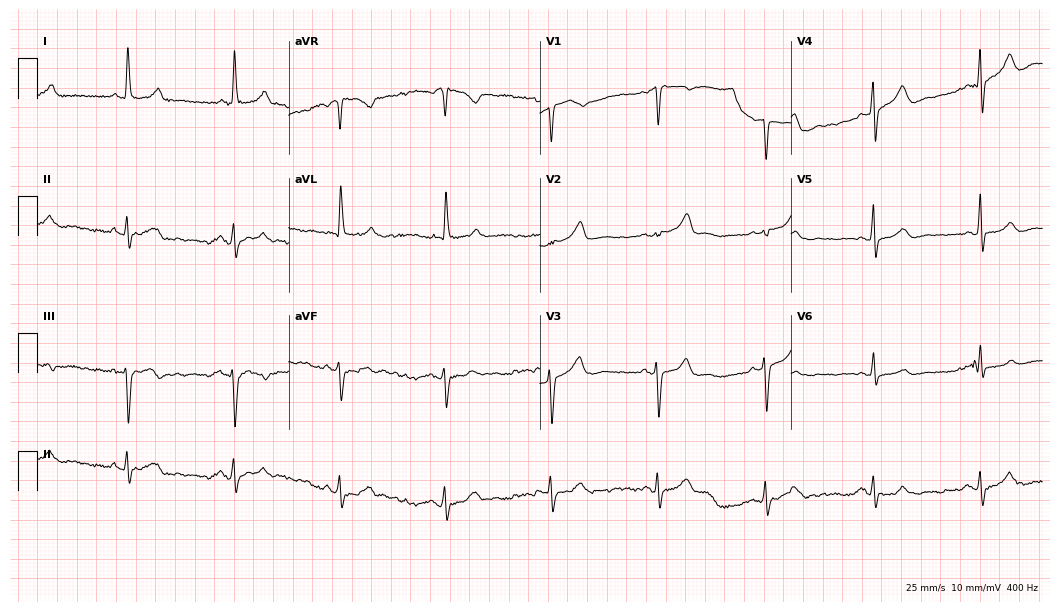
ECG — a female patient, 78 years old. Labelled as a normal ECG.